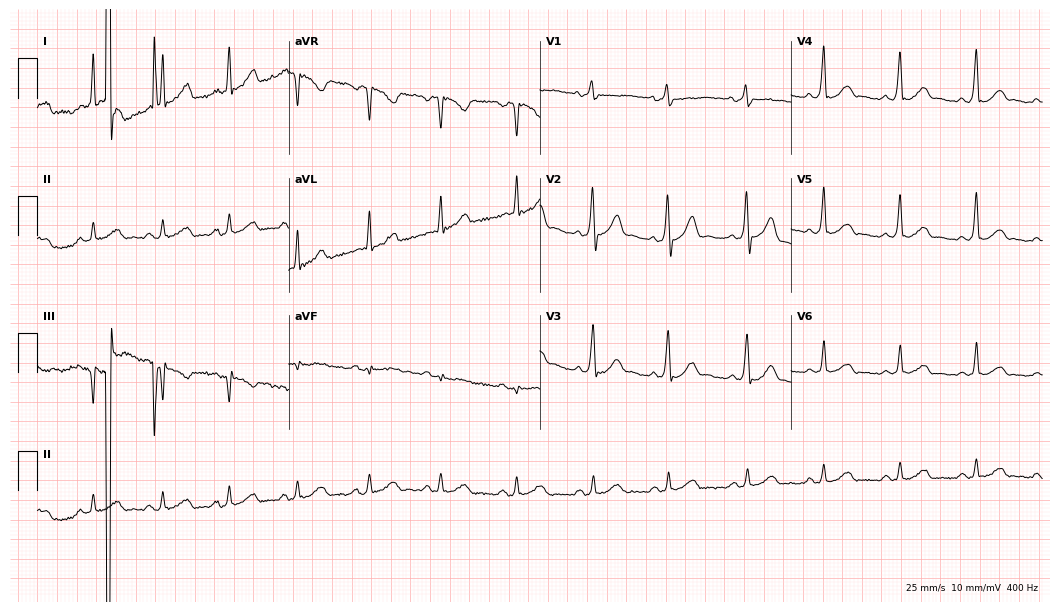
Resting 12-lead electrocardiogram (10.2-second recording at 400 Hz). Patient: a male, 34 years old. None of these six findings is recorded: first-degree AV block, right bundle branch block, left bundle branch block, sinus bradycardia, atrial fibrillation, sinus tachycardia. Findings outside these six are not listed.